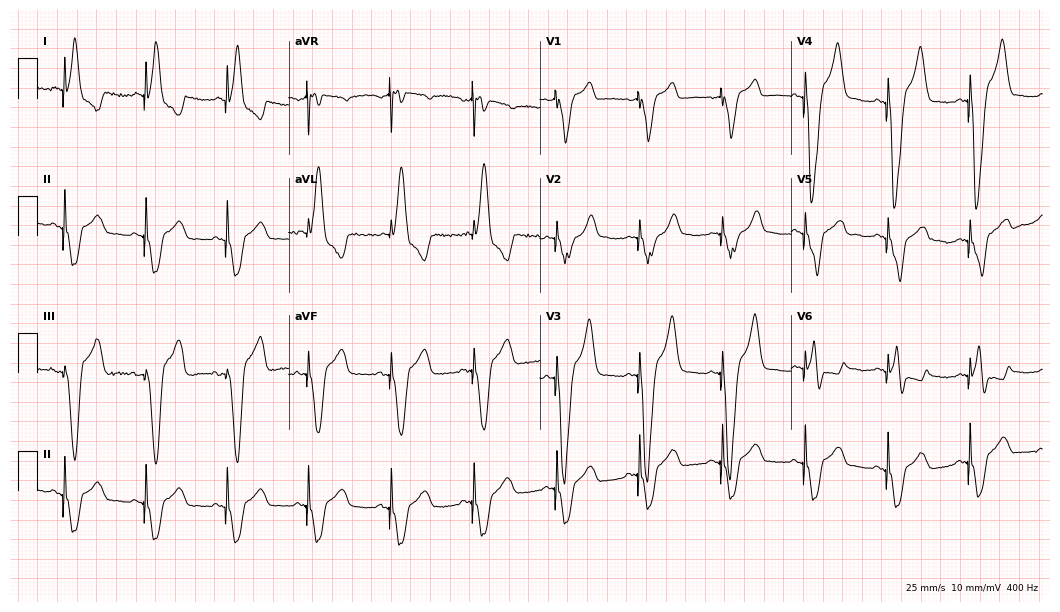
ECG (10.2-second recording at 400 Hz) — a female, 79 years old. Screened for six findings — first-degree AV block, right bundle branch block (RBBB), left bundle branch block (LBBB), sinus bradycardia, atrial fibrillation (AF), sinus tachycardia — none is recorded. Findings outside these six are not listed.